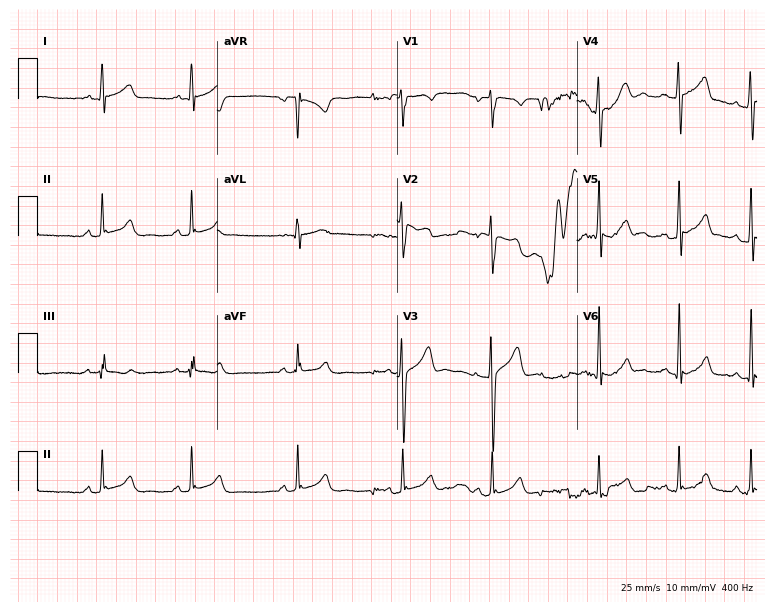
ECG — a male, 21 years old. Findings include atrial fibrillation (AF).